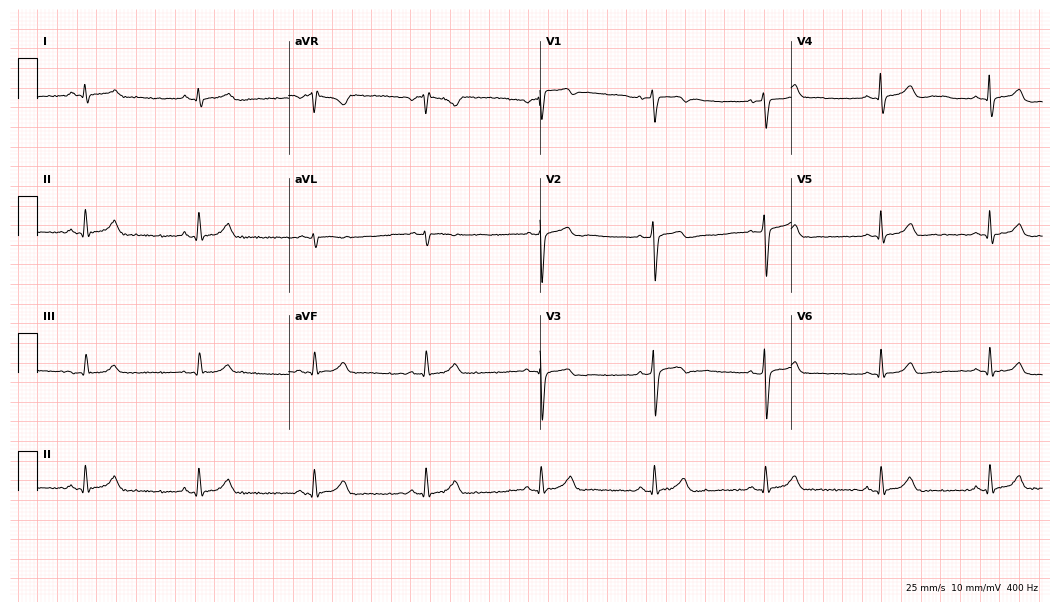
12-lead ECG from a man, 47 years old. Labelled as a normal ECG.